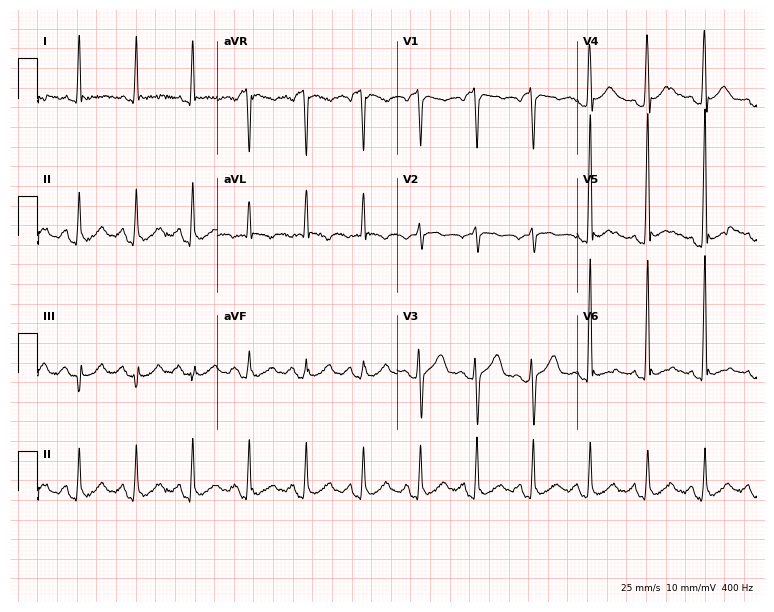
12-lead ECG (7.3-second recording at 400 Hz) from a 71-year-old male. Findings include sinus tachycardia (a sinus rate of 100 beats per minute or more).